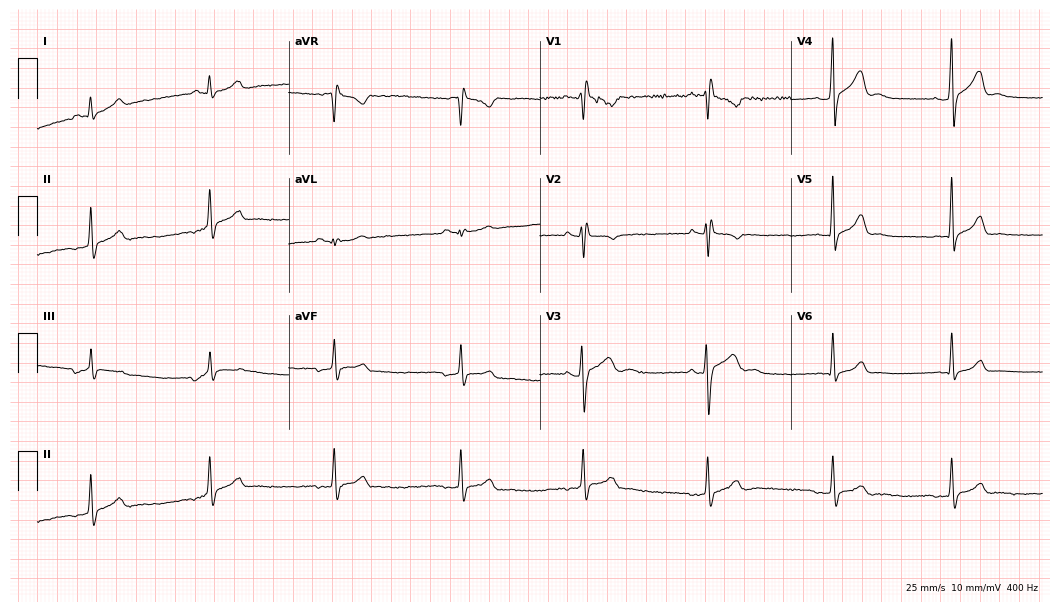
Resting 12-lead electrocardiogram. Patient: an 18-year-old man. None of these six findings is recorded: first-degree AV block, right bundle branch block, left bundle branch block, sinus bradycardia, atrial fibrillation, sinus tachycardia. Other findings, if any, are not listed.